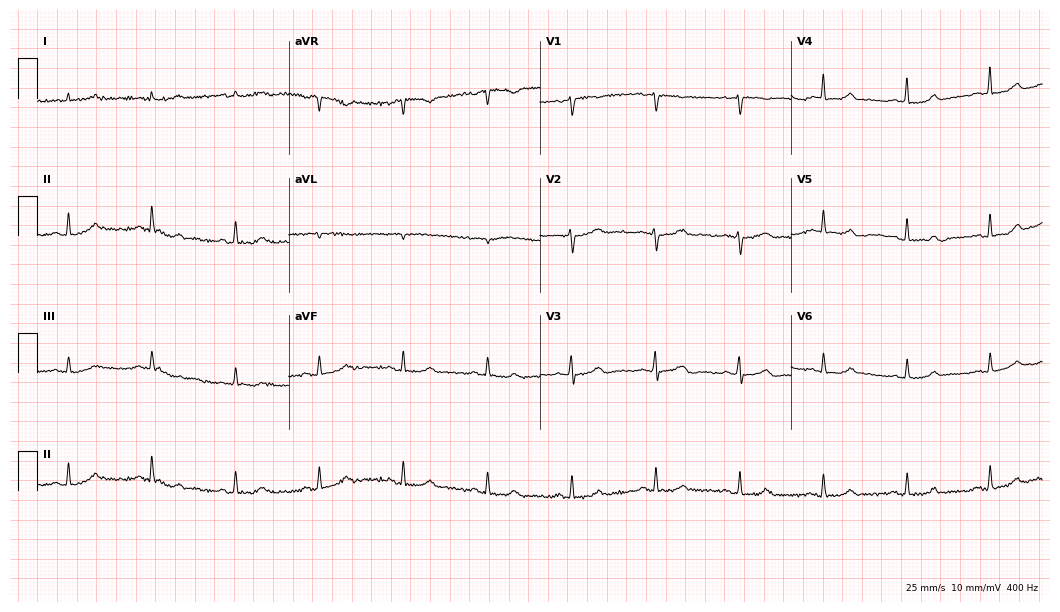
12-lead ECG from a female patient, 75 years old. Recorded interpretation: within normal limits.